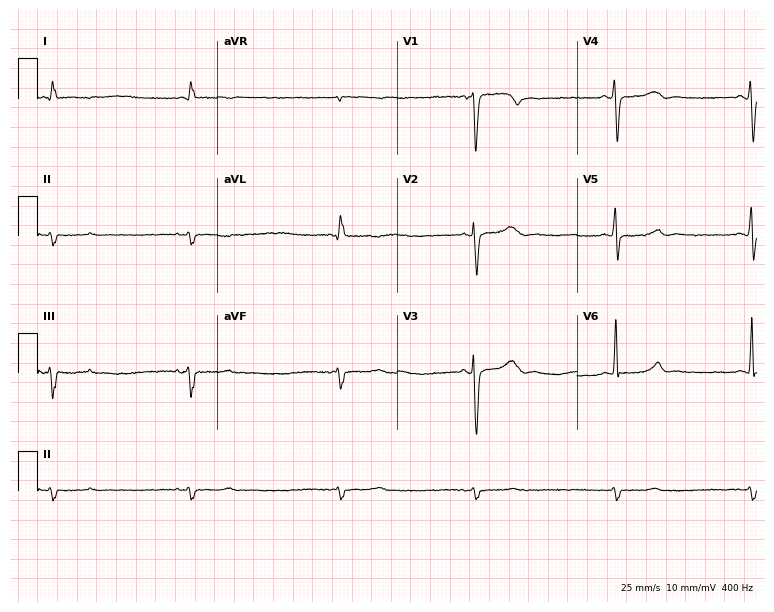
12-lead ECG (7.3-second recording at 400 Hz) from a woman, 58 years old. Findings include sinus bradycardia (a sinus rate of 50 beats per minute or less).